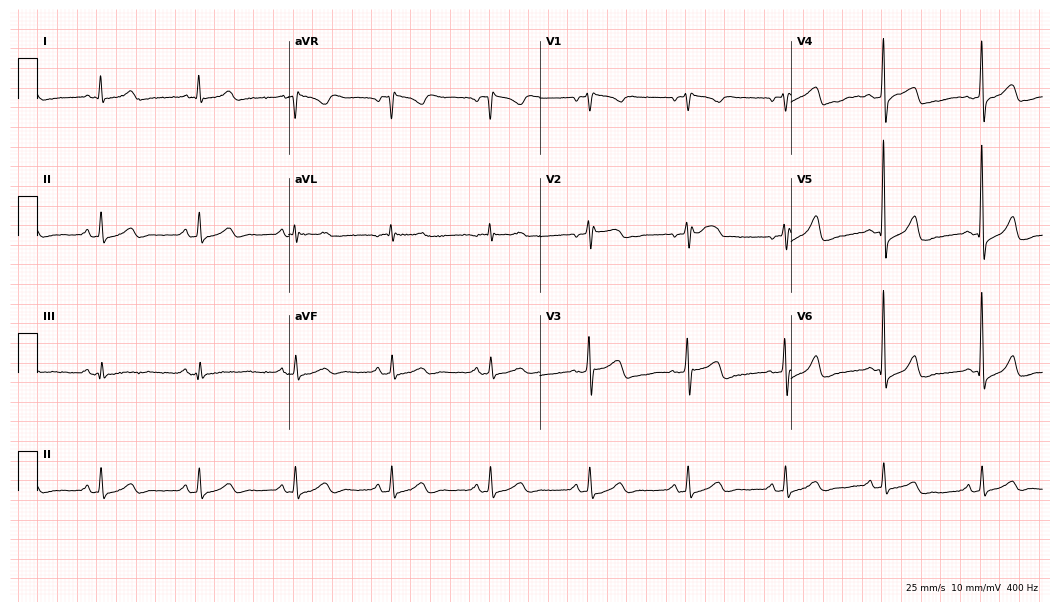
12-lead ECG from a female, 67 years old. Screened for six findings — first-degree AV block, right bundle branch block, left bundle branch block, sinus bradycardia, atrial fibrillation, sinus tachycardia — none is recorded.